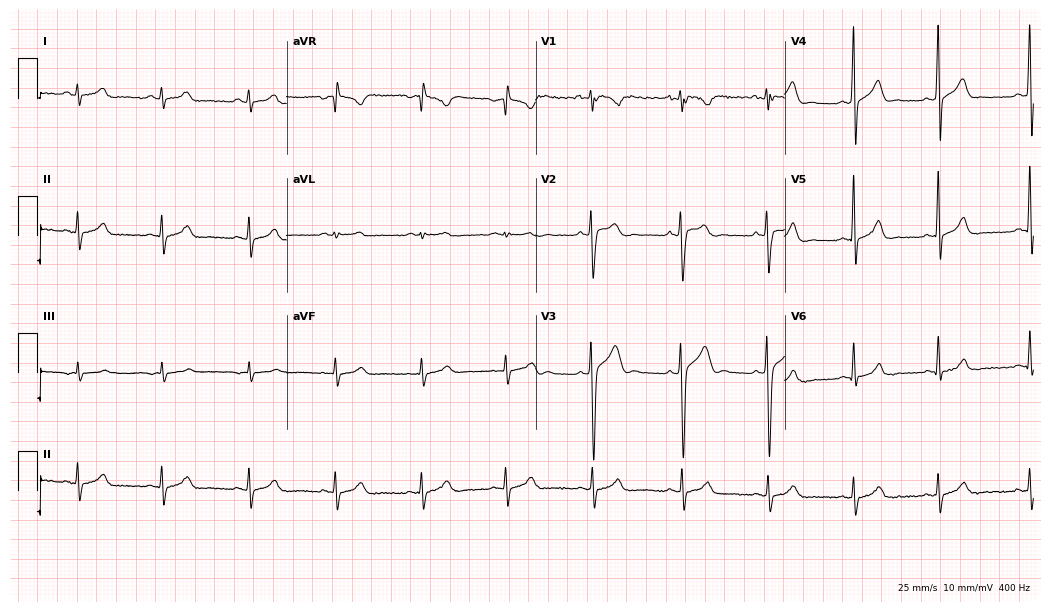
12-lead ECG (10.2-second recording at 400 Hz) from a 25-year-old male. Labelled as a normal ECG.